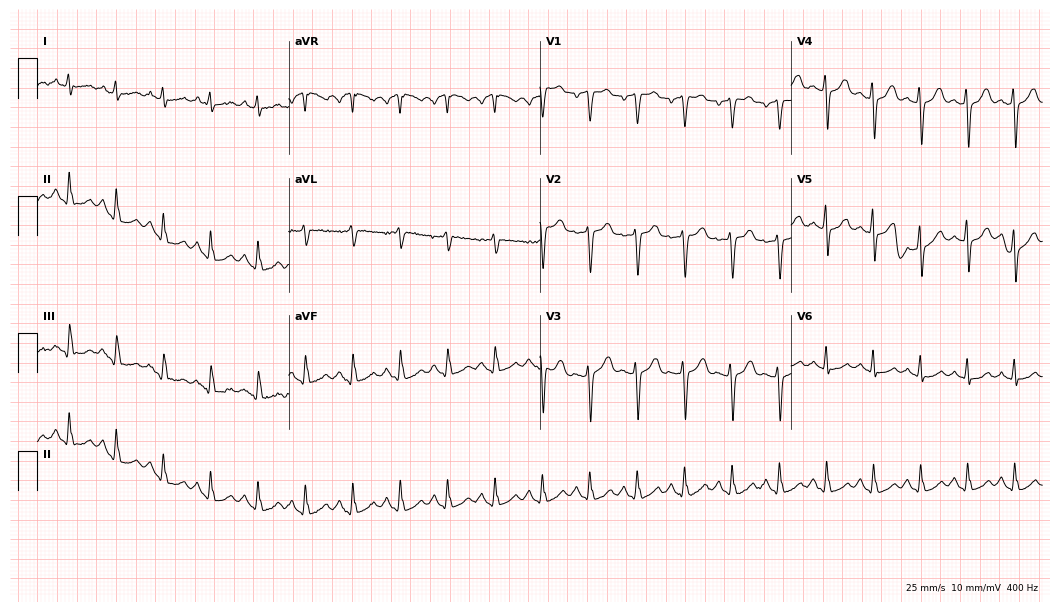
12-lead ECG from a 57-year-old female (10.2-second recording at 400 Hz). Shows sinus tachycardia (a sinus rate of 100 beats per minute or more).